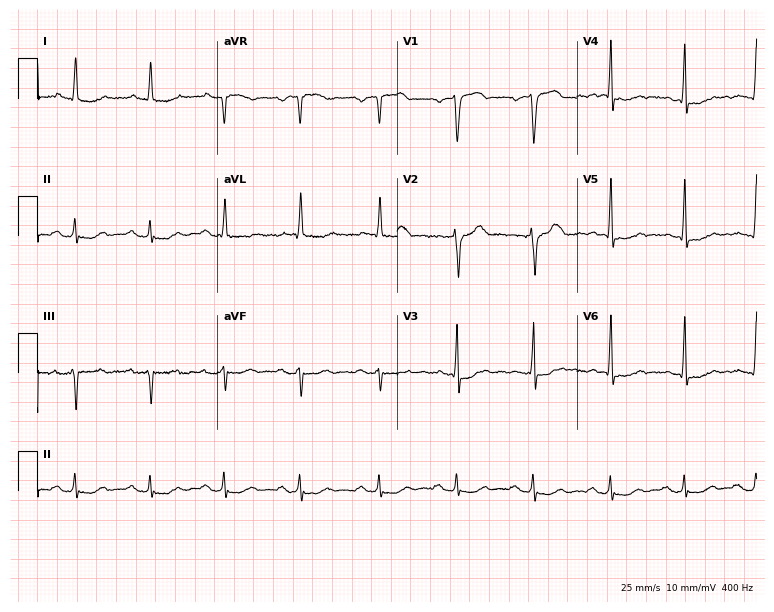
ECG (7.3-second recording at 400 Hz) — a 66-year-old man. Screened for six findings — first-degree AV block, right bundle branch block, left bundle branch block, sinus bradycardia, atrial fibrillation, sinus tachycardia — none is recorded. Only these six findings were labelled.